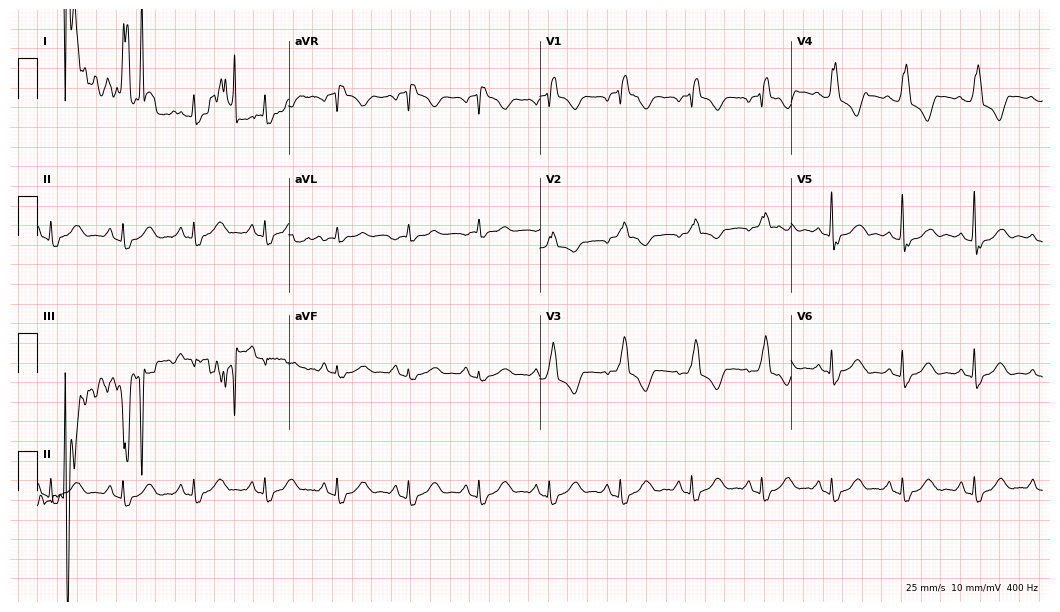
Electrocardiogram, a female patient, 70 years old. Interpretation includes atrial fibrillation (AF).